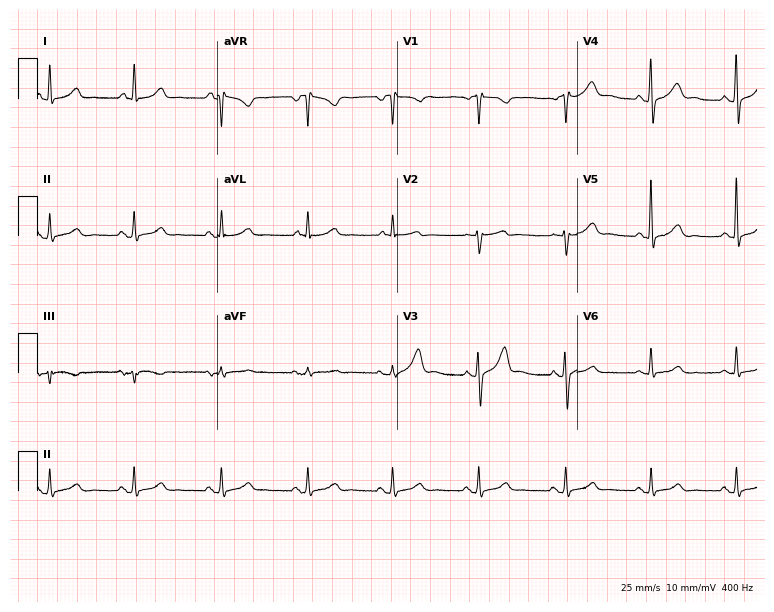
Electrocardiogram, a 59-year-old female patient. Of the six screened findings (first-degree AV block, right bundle branch block (RBBB), left bundle branch block (LBBB), sinus bradycardia, atrial fibrillation (AF), sinus tachycardia), none is recorded. Other findings, if any, are not listed.